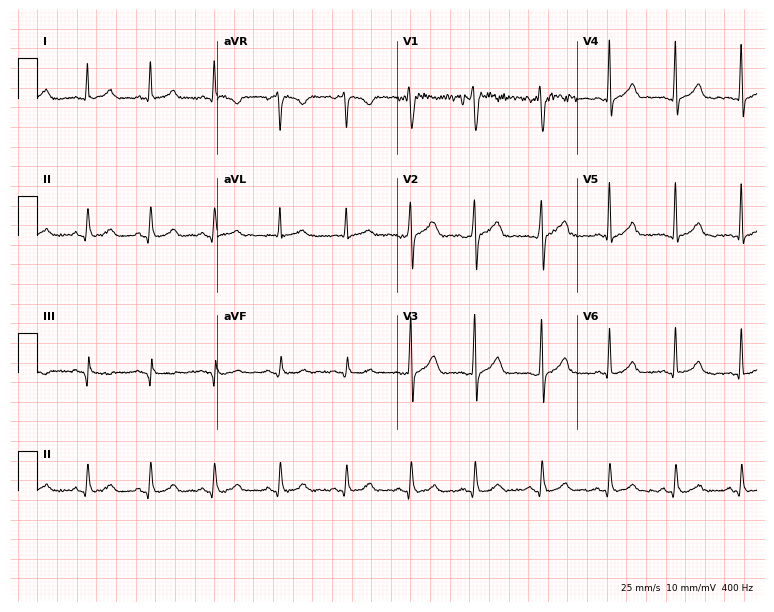
ECG — a woman, 43 years old. Screened for six findings — first-degree AV block, right bundle branch block, left bundle branch block, sinus bradycardia, atrial fibrillation, sinus tachycardia — none is recorded. Only these six findings were labelled.